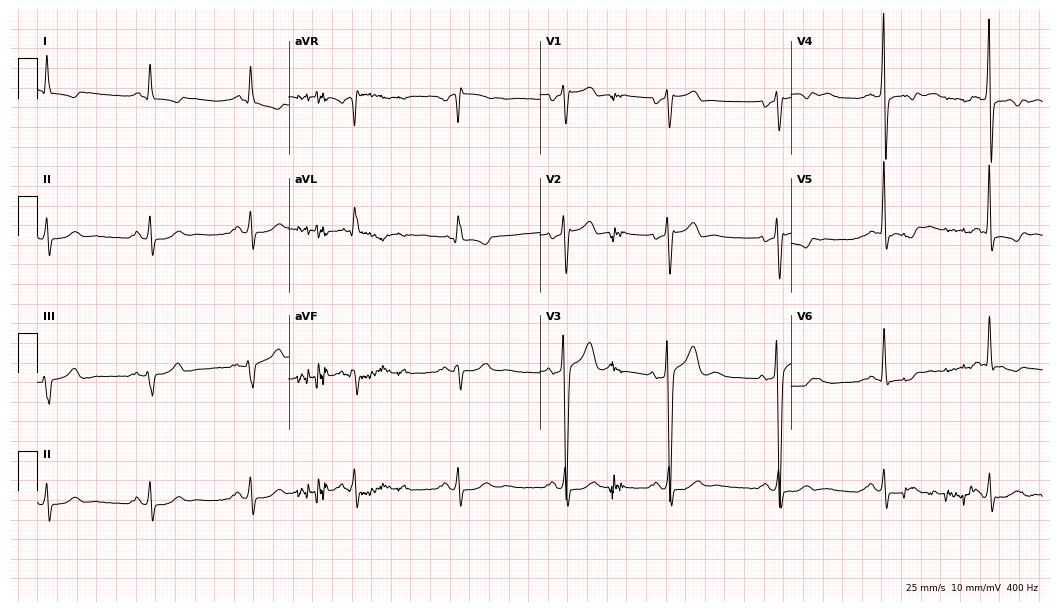
12-lead ECG from a 39-year-old male (10.2-second recording at 400 Hz). No first-degree AV block, right bundle branch block, left bundle branch block, sinus bradycardia, atrial fibrillation or sinus tachycardia recorded for this tracing.